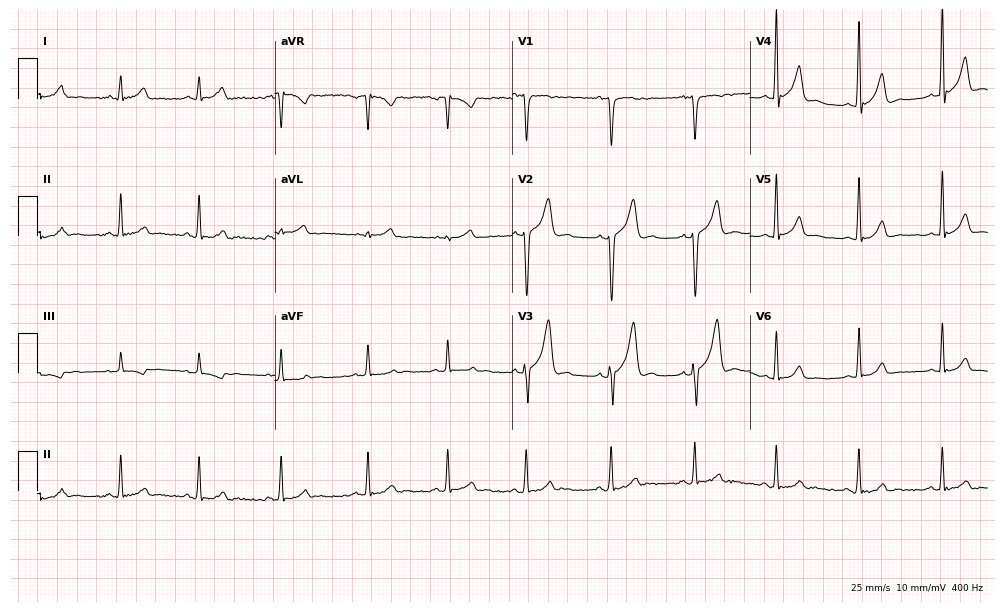
12-lead ECG from a 19-year-old male (9.7-second recording at 400 Hz). Recorded interpretation: within normal limits.